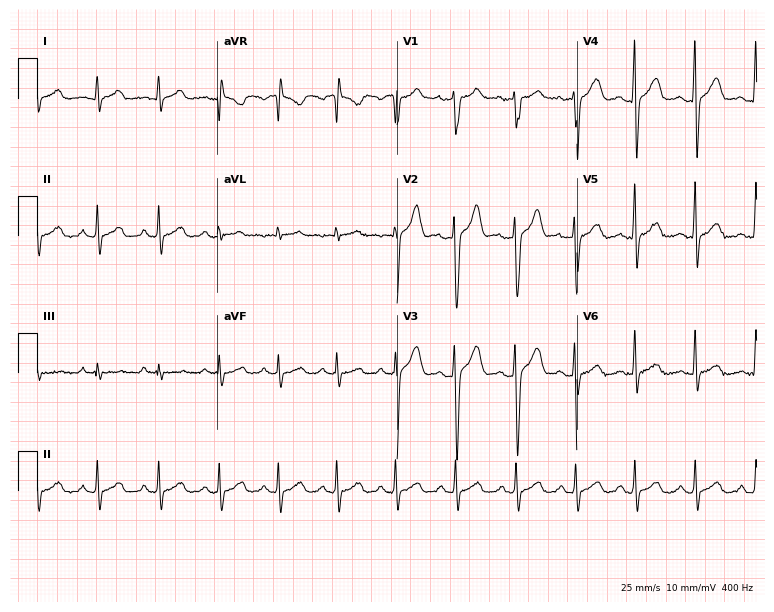
Electrocardiogram (7.3-second recording at 400 Hz), a 26-year-old man. Of the six screened findings (first-degree AV block, right bundle branch block, left bundle branch block, sinus bradycardia, atrial fibrillation, sinus tachycardia), none is recorded. Only these six findings were labelled.